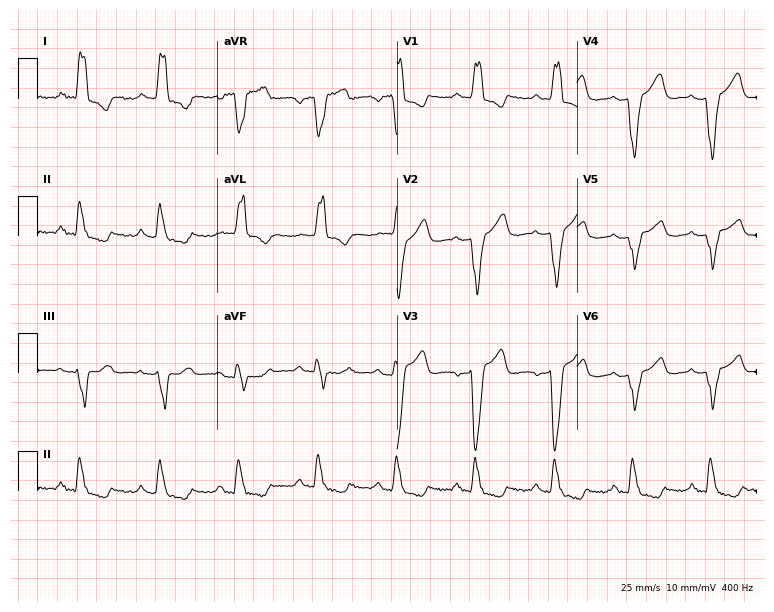
Standard 12-lead ECG recorded from a male patient, 55 years old (7.3-second recording at 400 Hz). None of these six findings is recorded: first-degree AV block, right bundle branch block, left bundle branch block, sinus bradycardia, atrial fibrillation, sinus tachycardia.